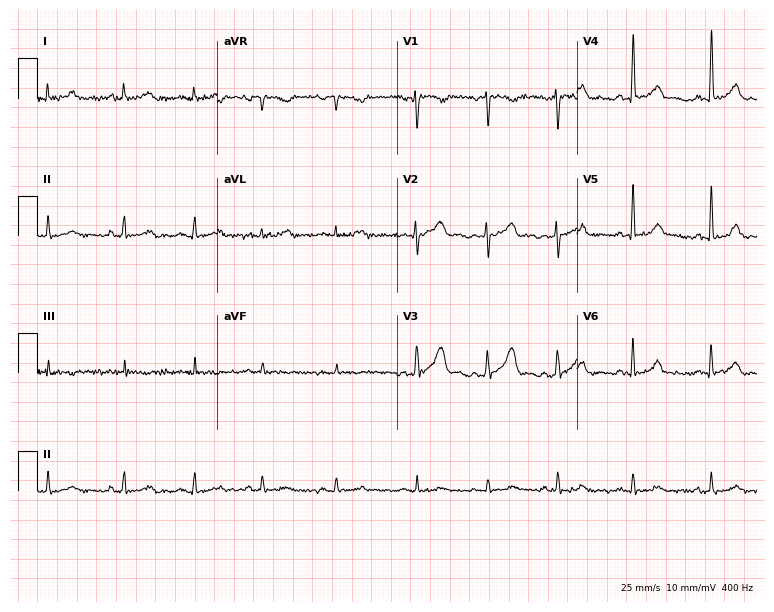
12-lead ECG (7.3-second recording at 400 Hz) from a 29-year-old female. Labelled as a normal ECG.